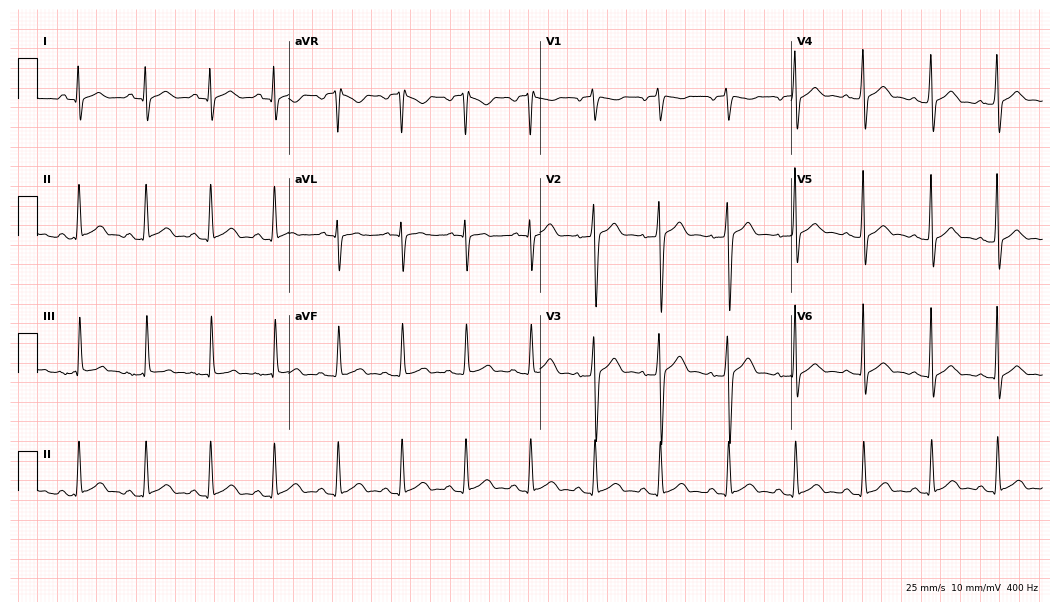
Standard 12-lead ECG recorded from an 18-year-old male patient. Read as a normal ECG.